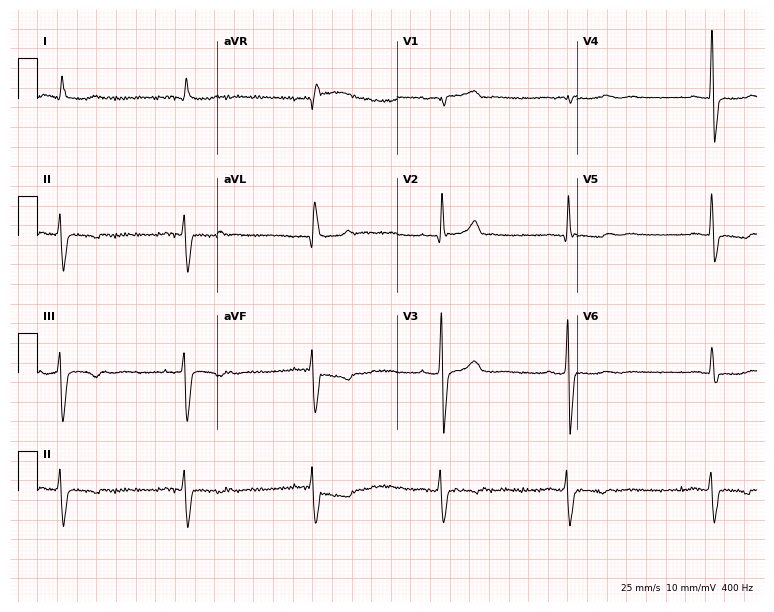
Electrocardiogram, a man, 73 years old. Of the six screened findings (first-degree AV block, right bundle branch block, left bundle branch block, sinus bradycardia, atrial fibrillation, sinus tachycardia), none is recorded. Findings outside these six are not listed.